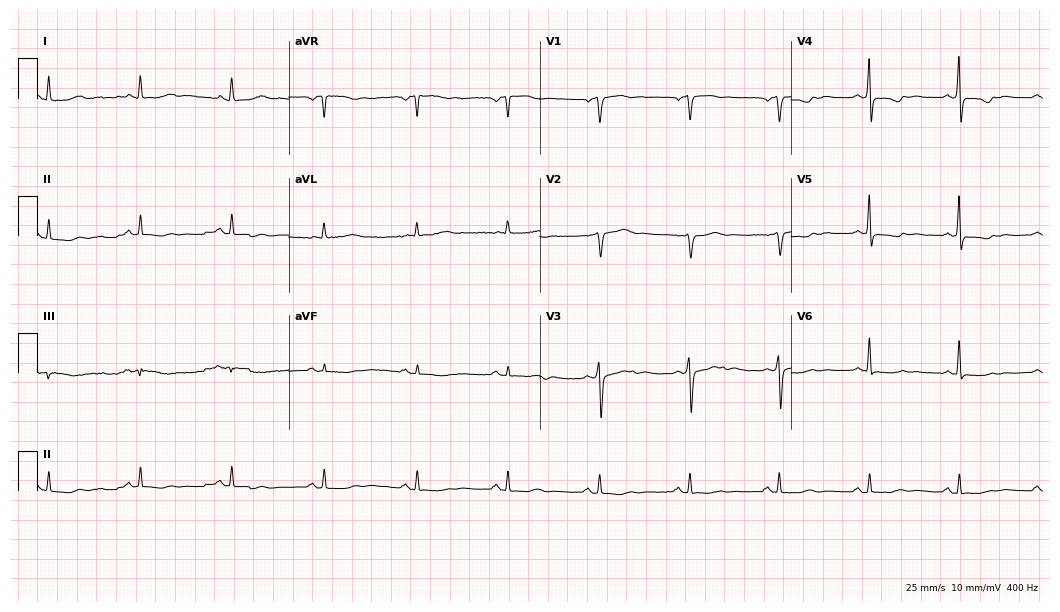
Standard 12-lead ECG recorded from a woman, 52 years old (10.2-second recording at 400 Hz). None of these six findings is recorded: first-degree AV block, right bundle branch block (RBBB), left bundle branch block (LBBB), sinus bradycardia, atrial fibrillation (AF), sinus tachycardia.